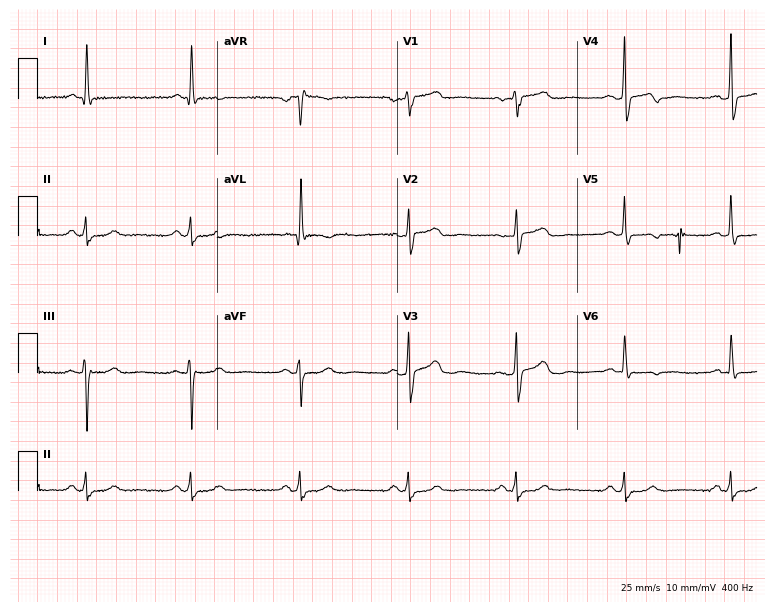
12-lead ECG (7.3-second recording at 400 Hz) from a 62-year-old female patient. Screened for six findings — first-degree AV block, right bundle branch block (RBBB), left bundle branch block (LBBB), sinus bradycardia, atrial fibrillation (AF), sinus tachycardia — none is recorded. Other findings, if any, are not listed.